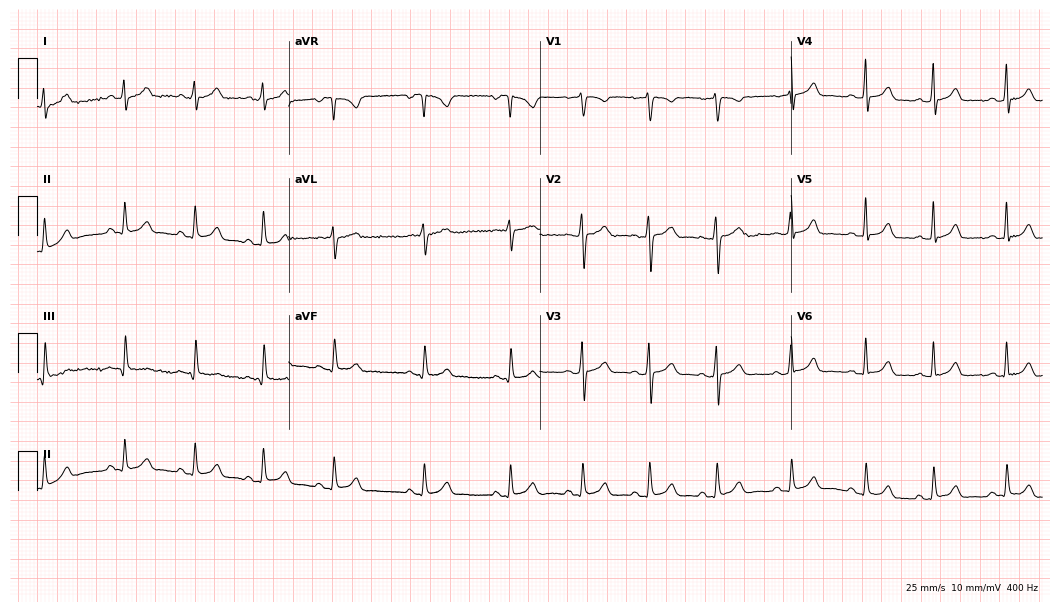
12-lead ECG (10.2-second recording at 400 Hz) from a 23-year-old female. Screened for six findings — first-degree AV block, right bundle branch block (RBBB), left bundle branch block (LBBB), sinus bradycardia, atrial fibrillation (AF), sinus tachycardia — none is recorded.